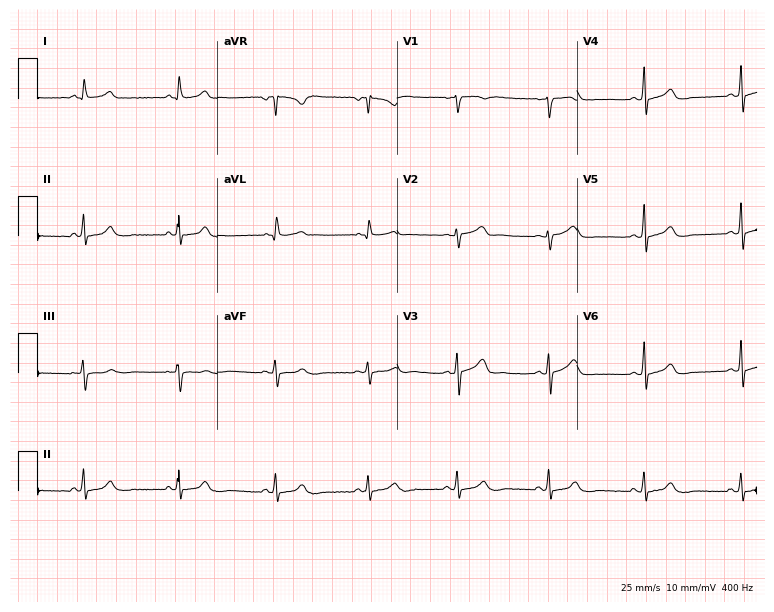
ECG — a 38-year-old female. Screened for six findings — first-degree AV block, right bundle branch block, left bundle branch block, sinus bradycardia, atrial fibrillation, sinus tachycardia — none is recorded.